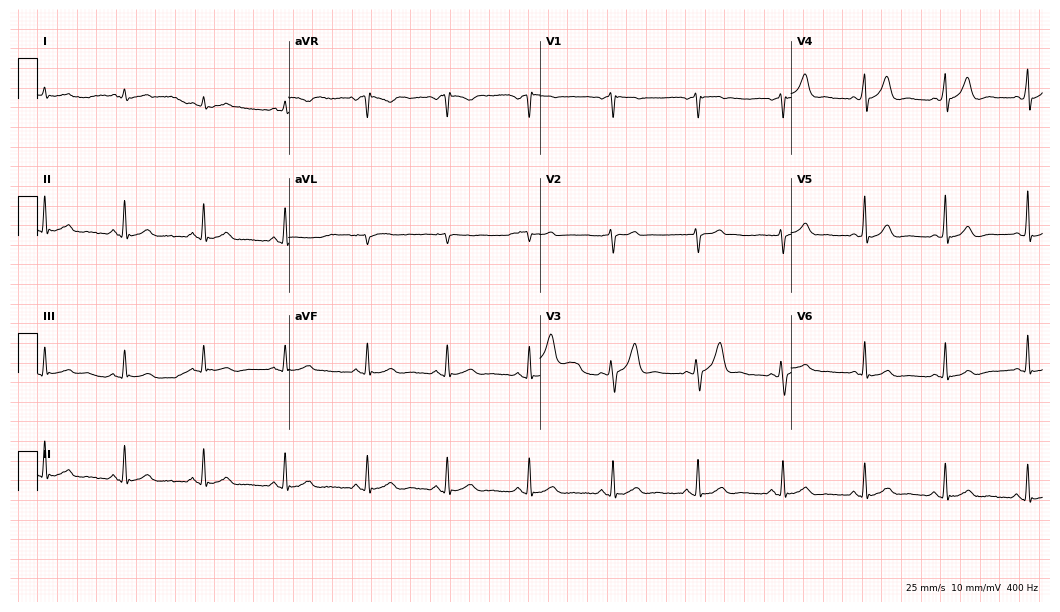
Resting 12-lead electrocardiogram (10.2-second recording at 400 Hz). Patient: a male, 44 years old. Read as a normal ECG.